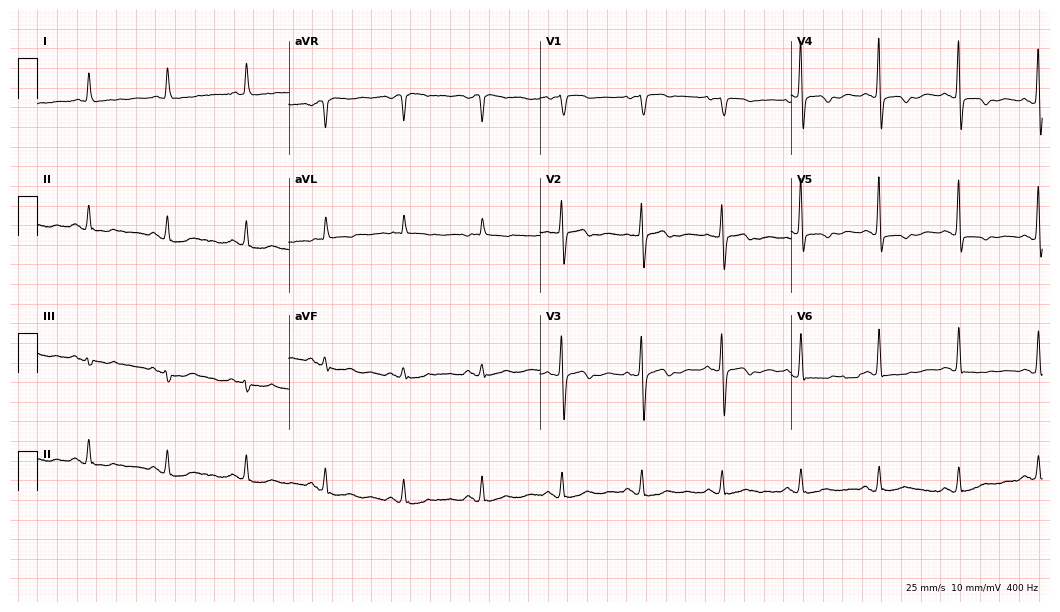
12-lead ECG from a woman, 80 years old. No first-degree AV block, right bundle branch block, left bundle branch block, sinus bradycardia, atrial fibrillation or sinus tachycardia recorded for this tracing. Findings outside these six are not listed.